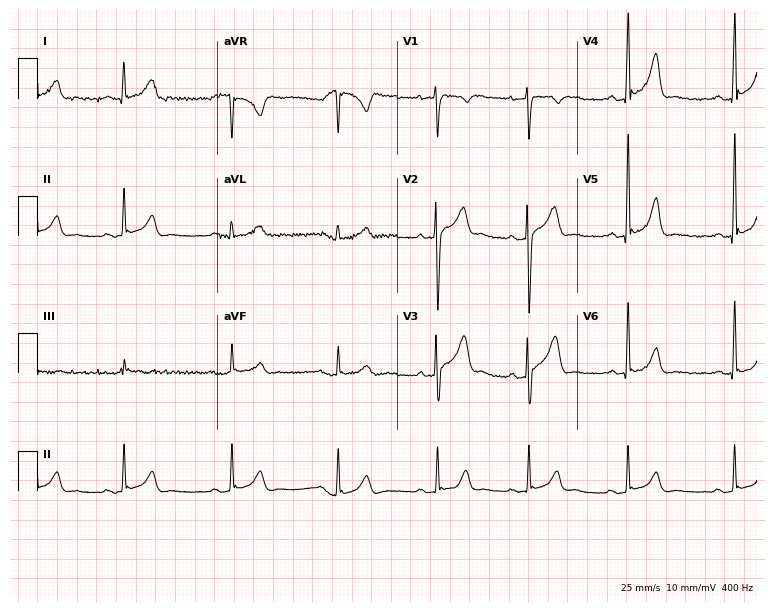
12-lead ECG from a 25-year-old man. Labelled as a normal ECG.